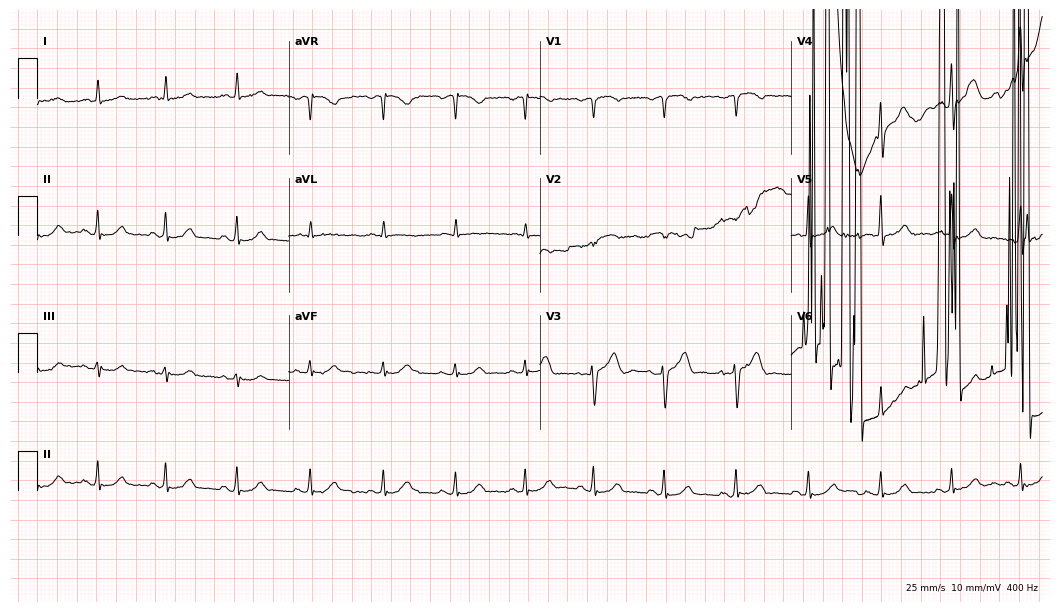
12-lead ECG from a male, 57 years old. Screened for six findings — first-degree AV block, right bundle branch block, left bundle branch block, sinus bradycardia, atrial fibrillation, sinus tachycardia — none is recorded.